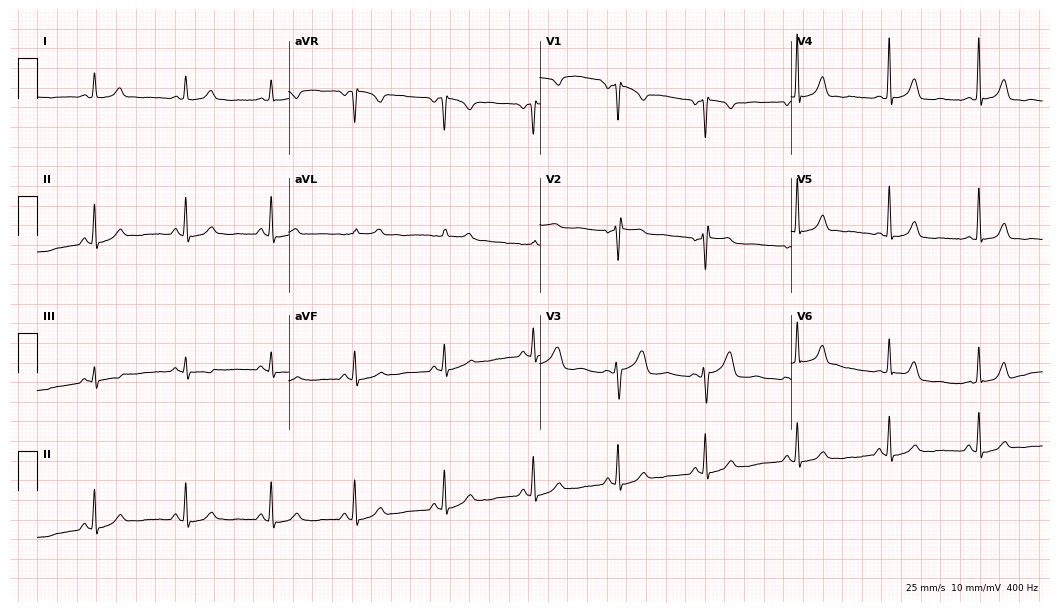
Resting 12-lead electrocardiogram. Patient: a female, 44 years old. None of these six findings is recorded: first-degree AV block, right bundle branch block (RBBB), left bundle branch block (LBBB), sinus bradycardia, atrial fibrillation (AF), sinus tachycardia. Findings outside these six are not listed.